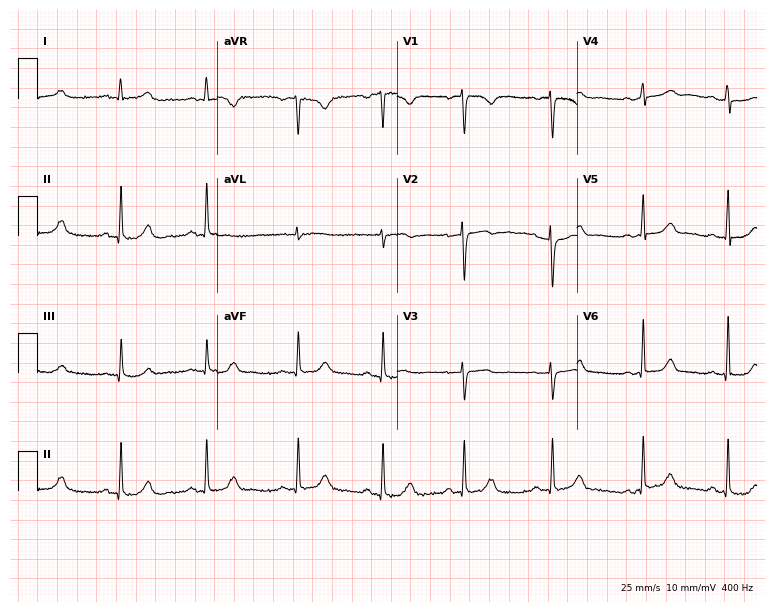
ECG — a woman, 35 years old. Labelled as a normal ECG.